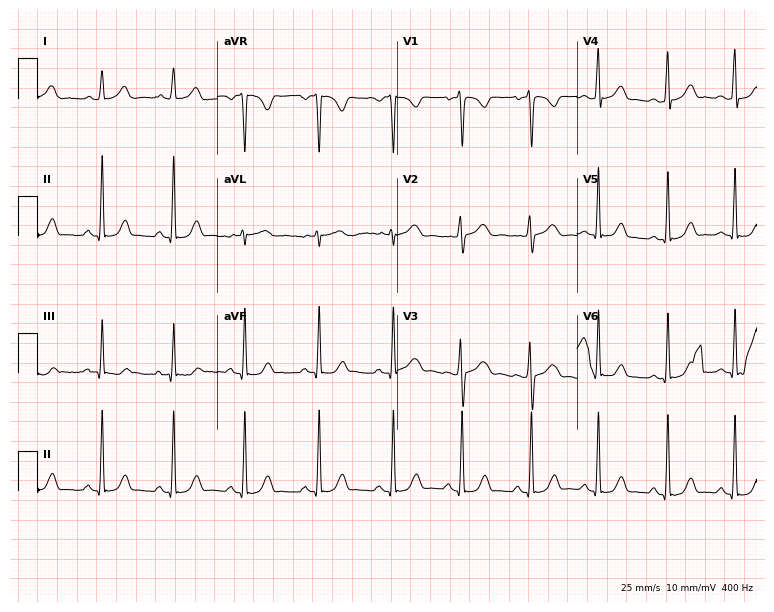
Electrocardiogram, a 17-year-old female. Of the six screened findings (first-degree AV block, right bundle branch block (RBBB), left bundle branch block (LBBB), sinus bradycardia, atrial fibrillation (AF), sinus tachycardia), none is recorded.